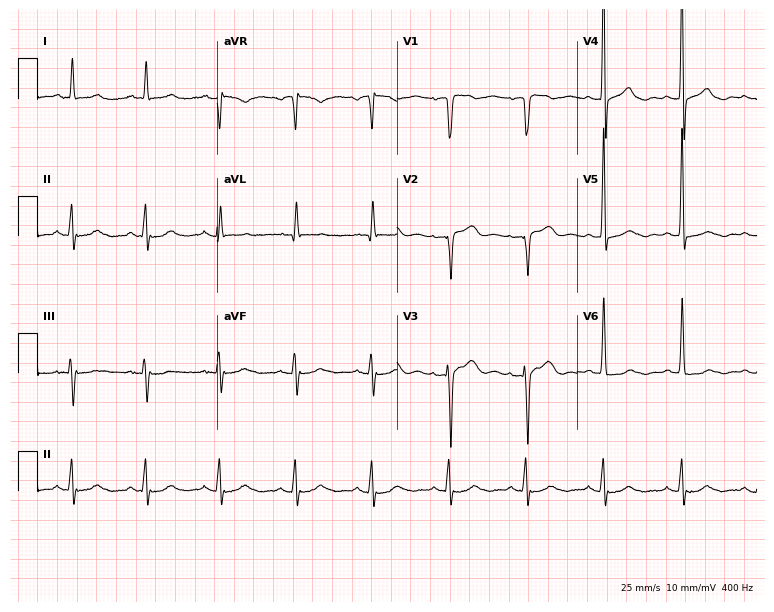
Standard 12-lead ECG recorded from a 77-year-old female patient (7.3-second recording at 400 Hz). None of these six findings is recorded: first-degree AV block, right bundle branch block (RBBB), left bundle branch block (LBBB), sinus bradycardia, atrial fibrillation (AF), sinus tachycardia.